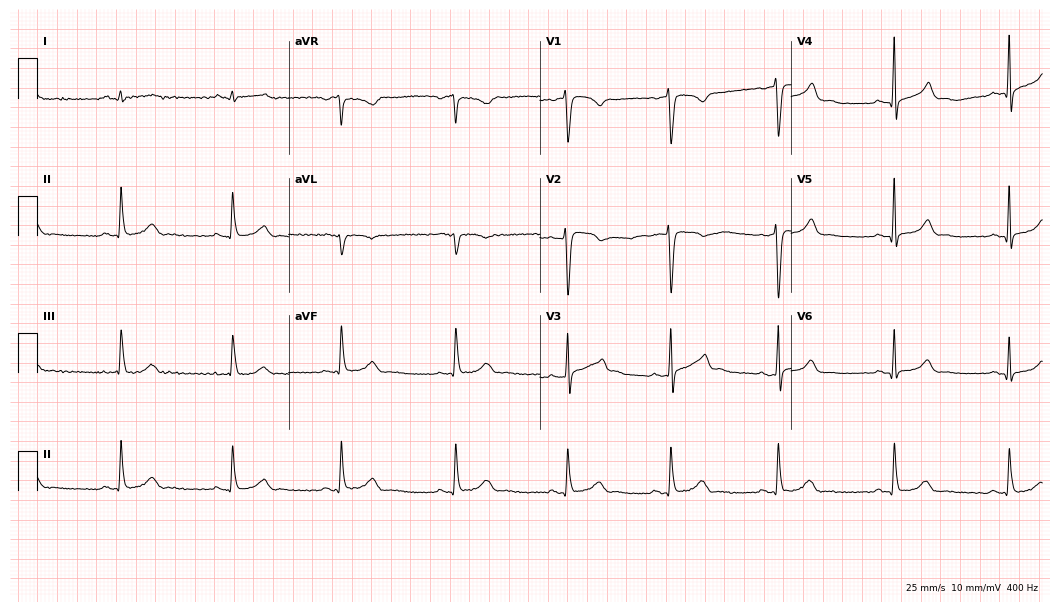
Resting 12-lead electrocardiogram. Patient: a 30-year-old man. None of these six findings is recorded: first-degree AV block, right bundle branch block, left bundle branch block, sinus bradycardia, atrial fibrillation, sinus tachycardia. Only these six findings were labelled.